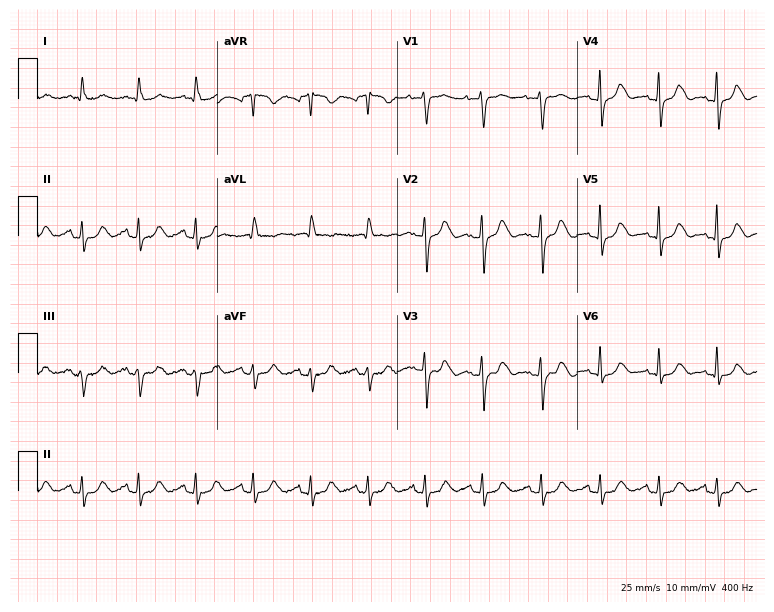
Standard 12-lead ECG recorded from a woman, 83 years old. None of these six findings is recorded: first-degree AV block, right bundle branch block, left bundle branch block, sinus bradycardia, atrial fibrillation, sinus tachycardia. Findings outside these six are not listed.